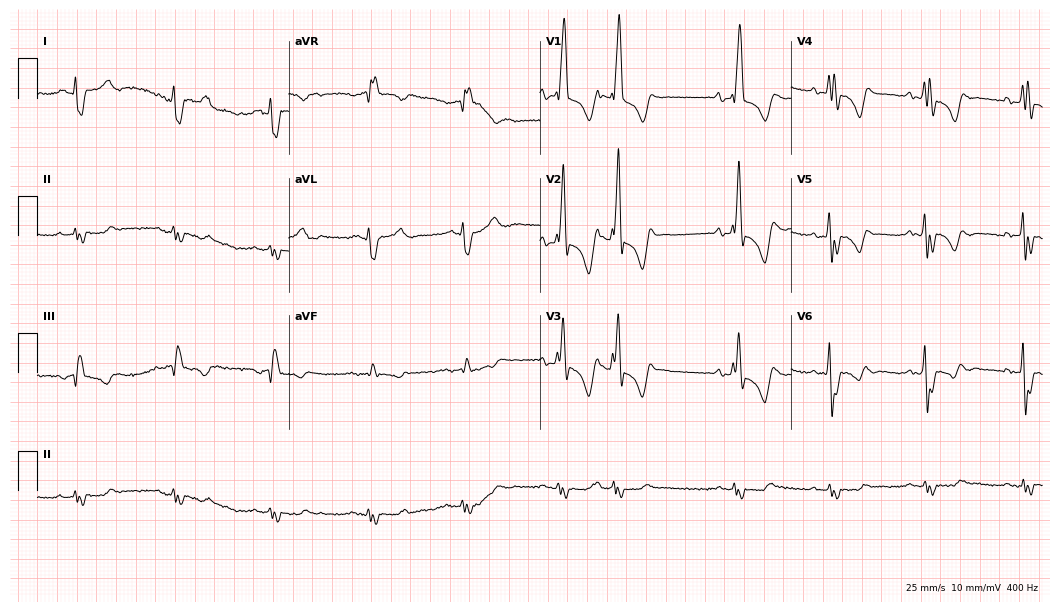
ECG (10.2-second recording at 400 Hz) — a male, 70 years old. Findings include right bundle branch block.